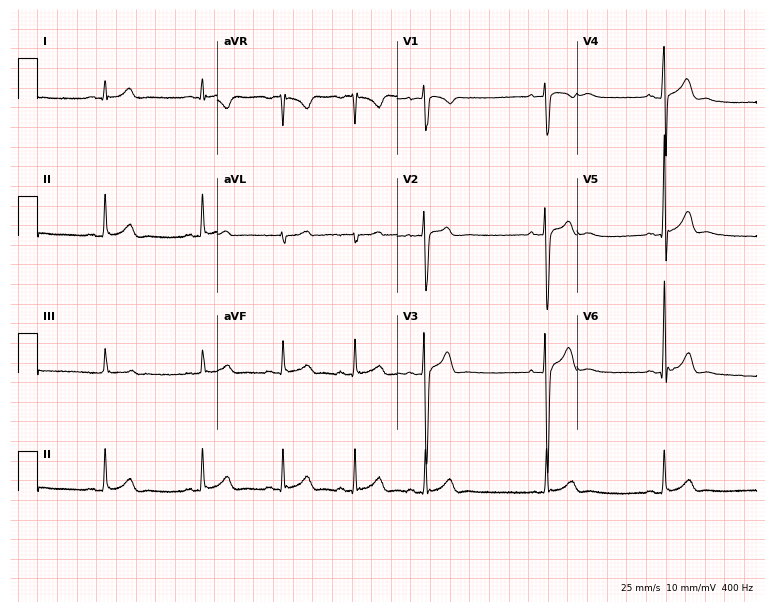
Resting 12-lead electrocardiogram. Patient: a 23-year-old man. Read as a normal ECG.